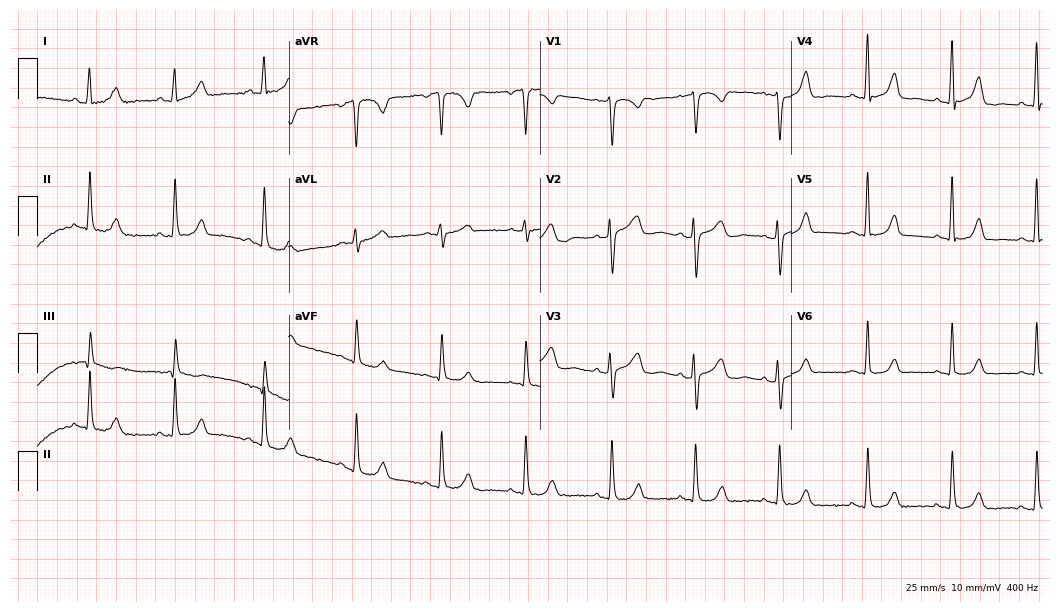
12-lead ECG (10.2-second recording at 400 Hz) from a female, 49 years old. Labelled as a normal ECG.